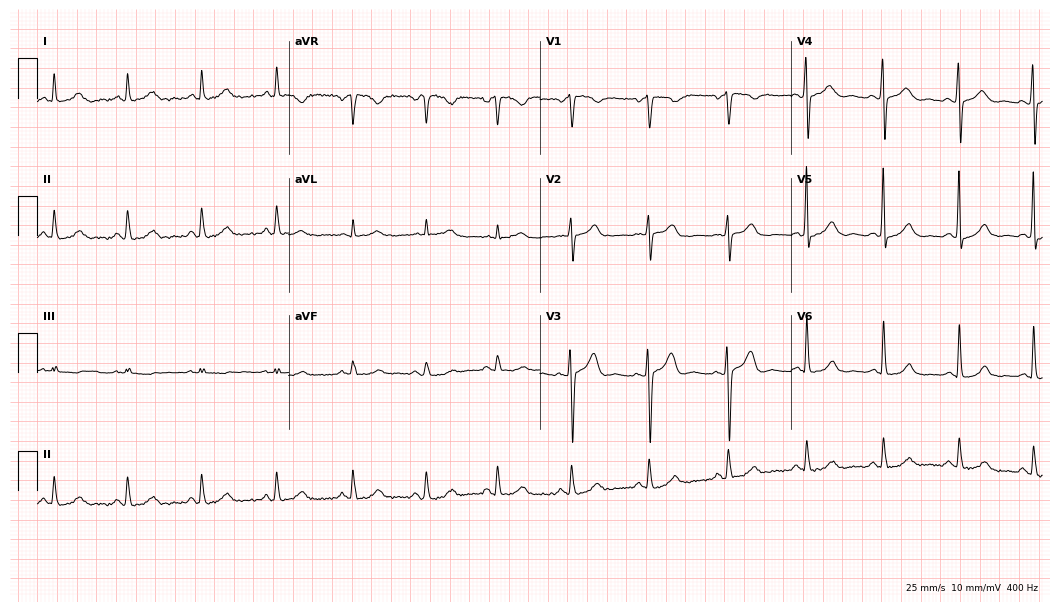
12-lead ECG (10.2-second recording at 400 Hz) from a female, 43 years old. Screened for six findings — first-degree AV block, right bundle branch block, left bundle branch block, sinus bradycardia, atrial fibrillation, sinus tachycardia — none is recorded.